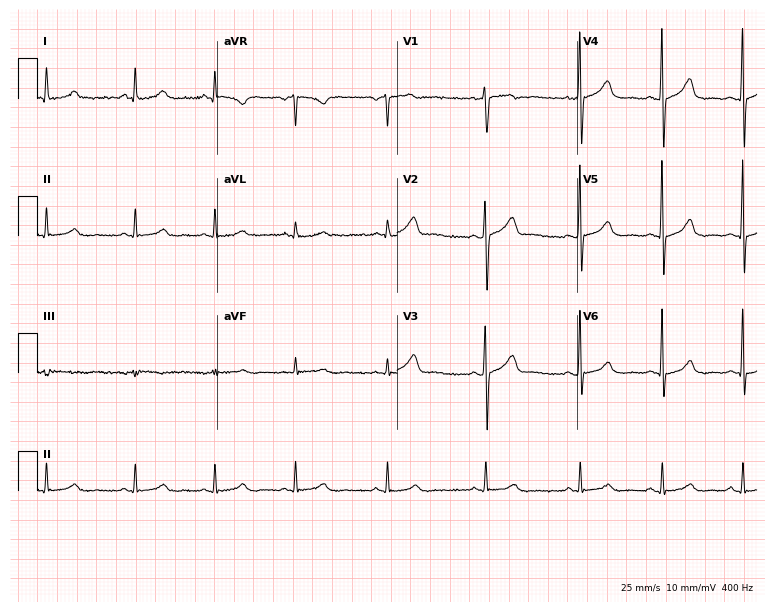
Electrocardiogram, a female patient, 28 years old. Of the six screened findings (first-degree AV block, right bundle branch block (RBBB), left bundle branch block (LBBB), sinus bradycardia, atrial fibrillation (AF), sinus tachycardia), none is recorded. Other findings, if any, are not listed.